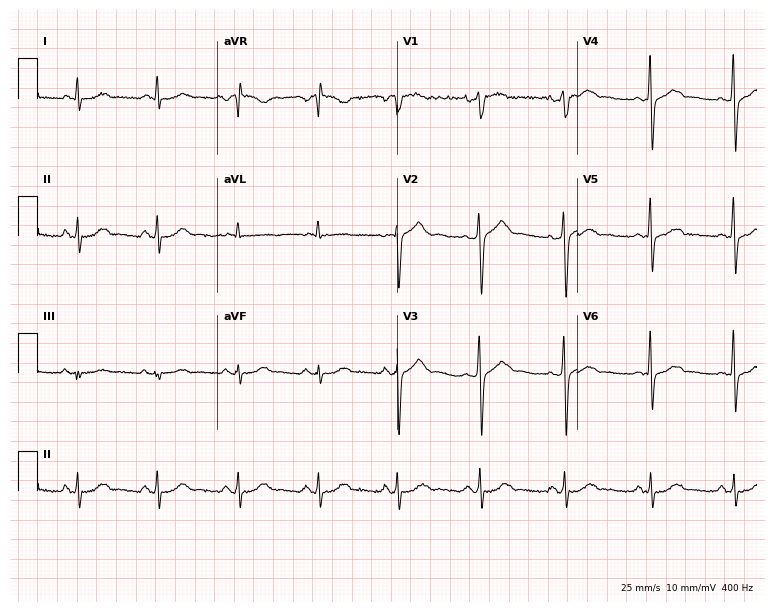
Resting 12-lead electrocardiogram (7.3-second recording at 400 Hz). Patient: a 68-year-old male. None of these six findings is recorded: first-degree AV block, right bundle branch block (RBBB), left bundle branch block (LBBB), sinus bradycardia, atrial fibrillation (AF), sinus tachycardia. Findings outside these six are not listed.